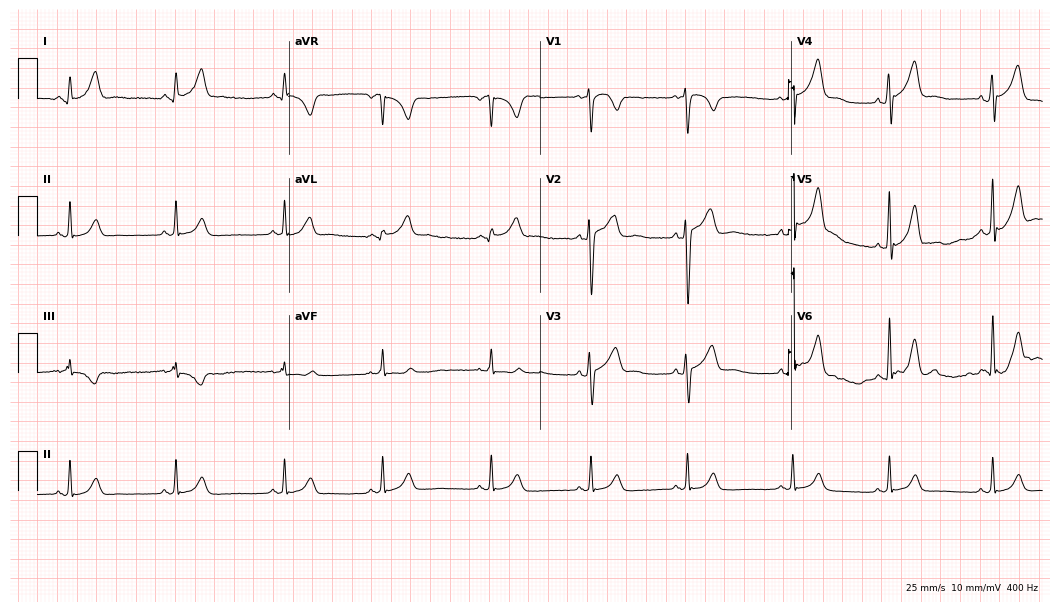
Resting 12-lead electrocardiogram. Patient: a male, 33 years old. None of these six findings is recorded: first-degree AV block, right bundle branch block, left bundle branch block, sinus bradycardia, atrial fibrillation, sinus tachycardia. Findings outside these six are not listed.